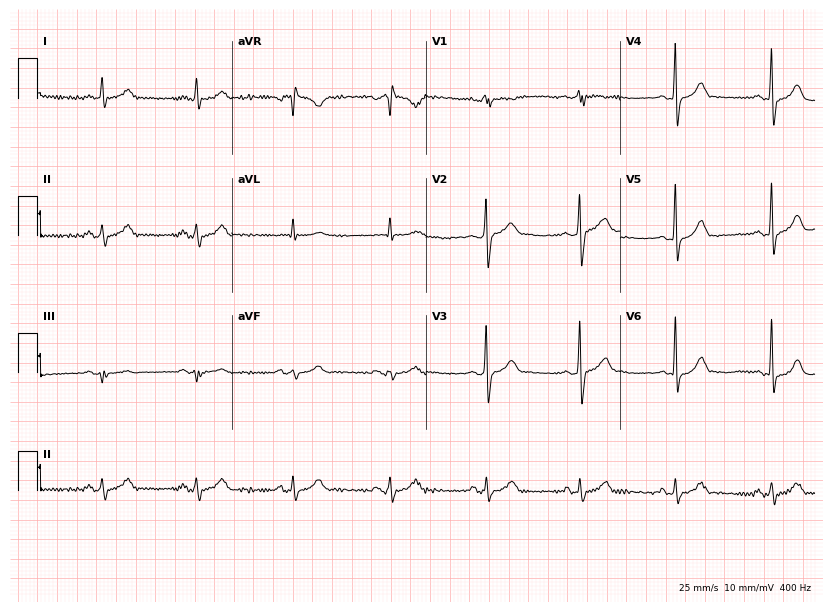
ECG — a 62-year-old man. Labelled as a normal ECG.